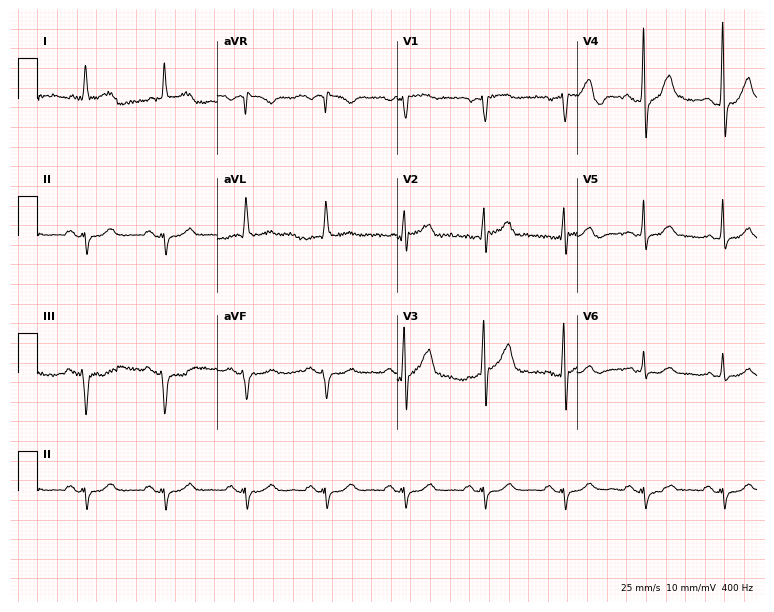
12-lead ECG from a 63-year-old male. No first-degree AV block, right bundle branch block, left bundle branch block, sinus bradycardia, atrial fibrillation or sinus tachycardia recorded for this tracing. Other findings, if any, are not listed.